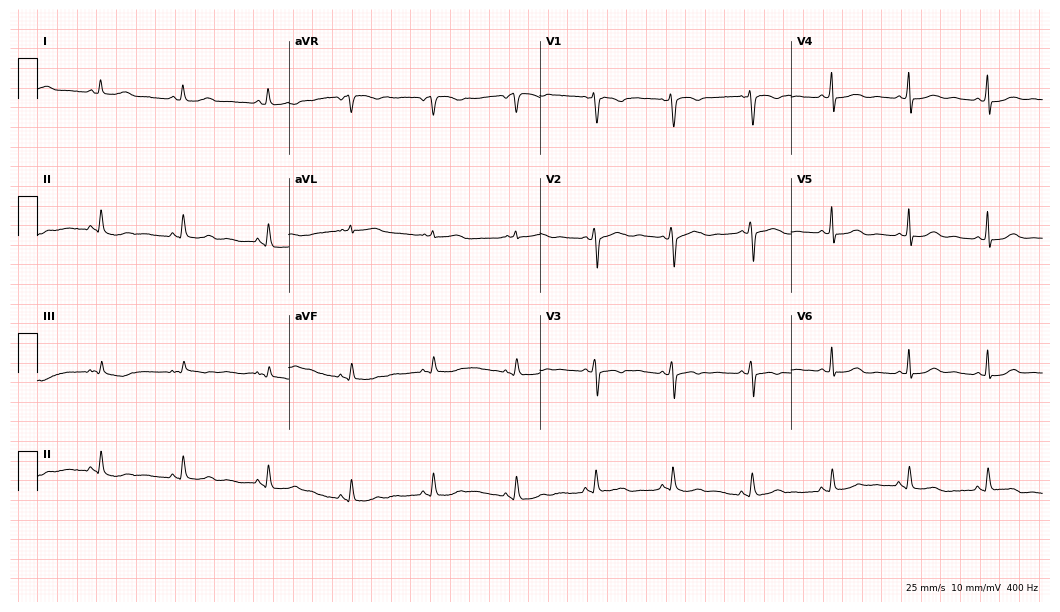
Standard 12-lead ECG recorded from a 33-year-old woman. None of these six findings is recorded: first-degree AV block, right bundle branch block (RBBB), left bundle branch block (LBBB), sinus bradycardia, atrial fibrillation (AF), sinus tachycardia.